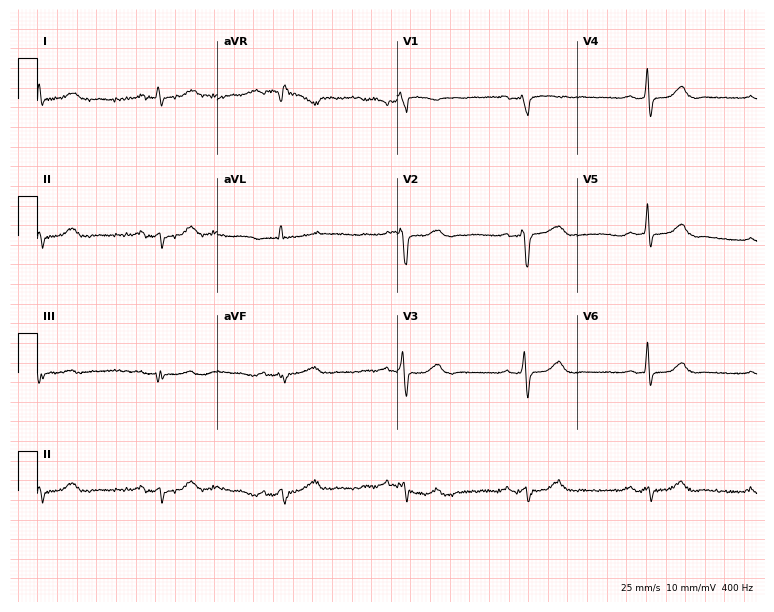
12-lead ECG from a woman, 74 years old (7.3-second recording at 400 Hz). No first-degree AV block, right bundle branch block, left bundle branch block, sinus bradycardia, atrial fibrillation or sinus tachycardia recorded for this tracing.